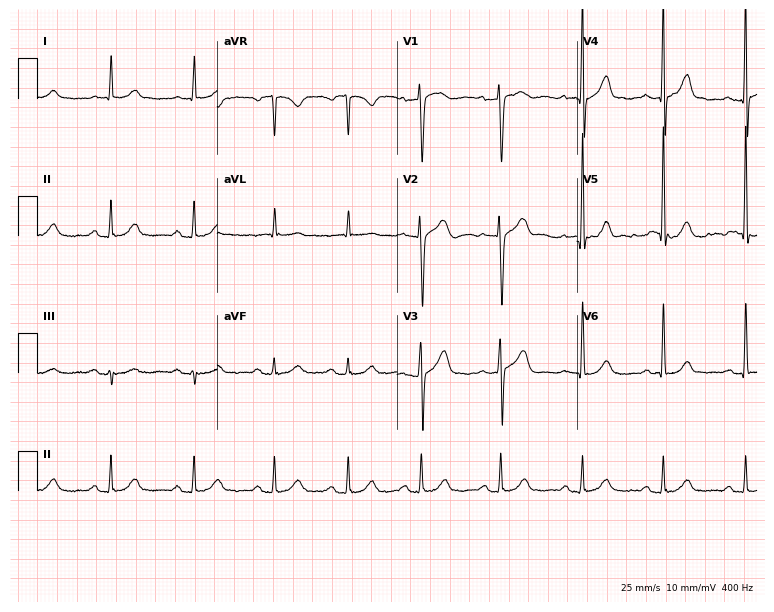
Standard 12-lead ECG recorded from a male patient, 65 years old. None of these six findings is recorded: first-degree AV block, right bundle branch block, left bundle branch block, sinus bradycardia, atrial fibrillation, sinus tachycardia.